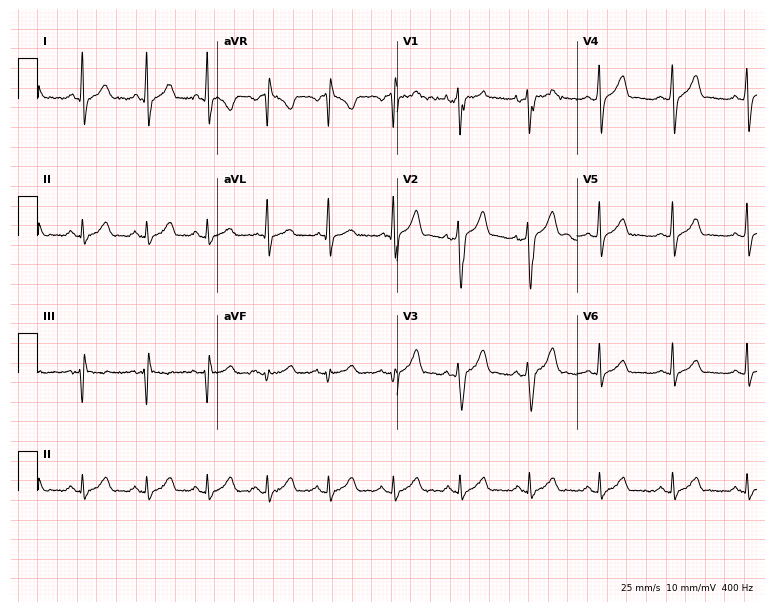
Resting 12-lead electrocardiogram. Patient: a 23-year-old male. Read as a normal ECG.